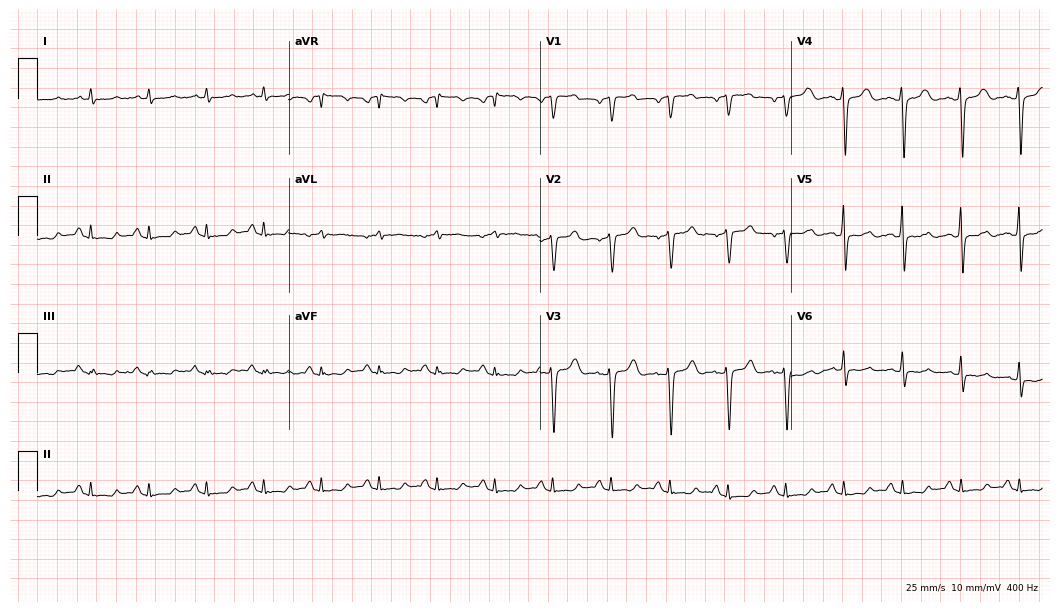
ECG (10.2-second recording at 400 Hz) — a female patient, 47 years old. Findings include sinus tachycardia (a sinus rate of 100 beats per minute or more).